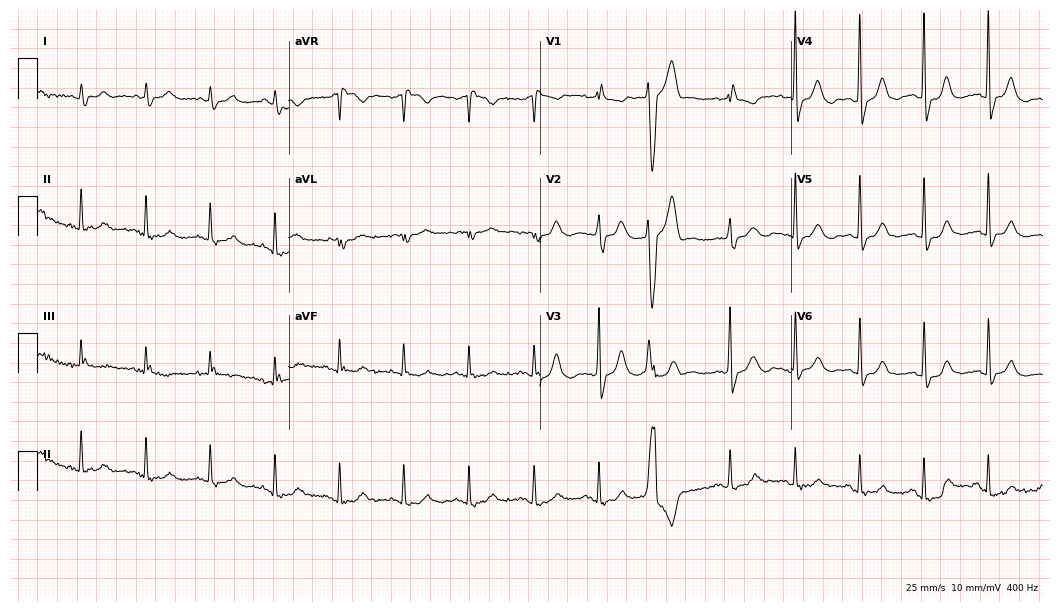
Resting 12-lead electrocardiogram (10.2-second recording at 400 Hz). Patient: a female, 85 years old. None of these six findings is recorded: first-degree AV block, right bundle branch block (RBBB), left bundle branch block (LBBB), sinus bradycardia, atrial fibrillation (AF), sinus tachycardia. Only these six findings were labelled.